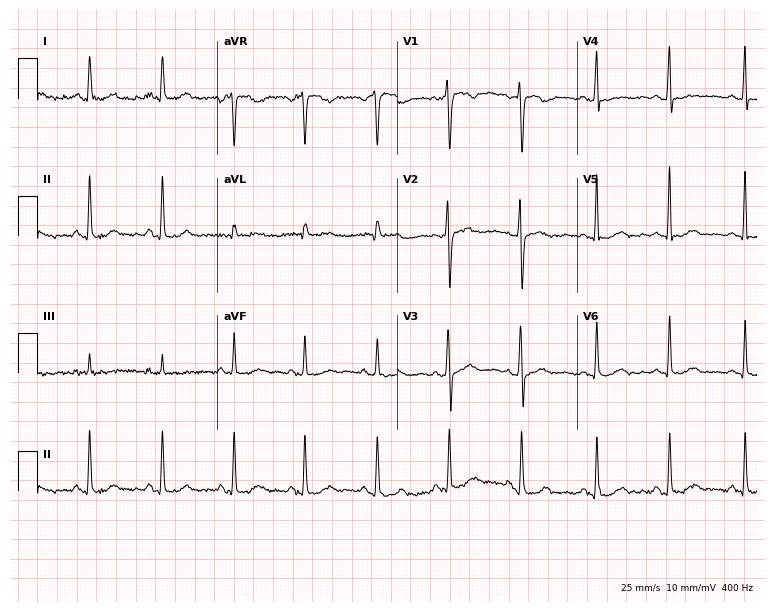
Resting 12-lead electrocardiogram. Patient: a 40-year-old female. Read as a normal ECG.